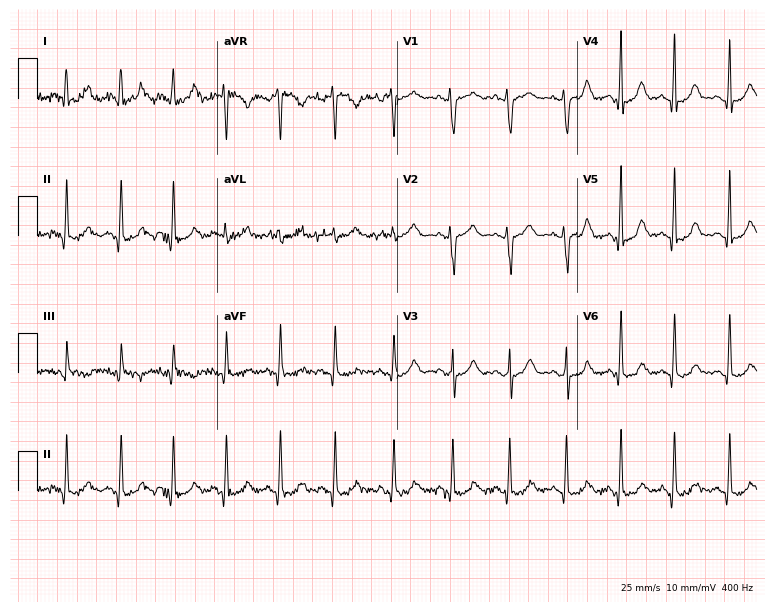
12-lead ECG from a 26-year-old female patient. No first-degree AV block, right bundle branch block (RBBB), left bundle branch block (LBBB), sinus bradycardia, atrial fibrillation (AF) or sinus tachycardia recorded for this tracing.